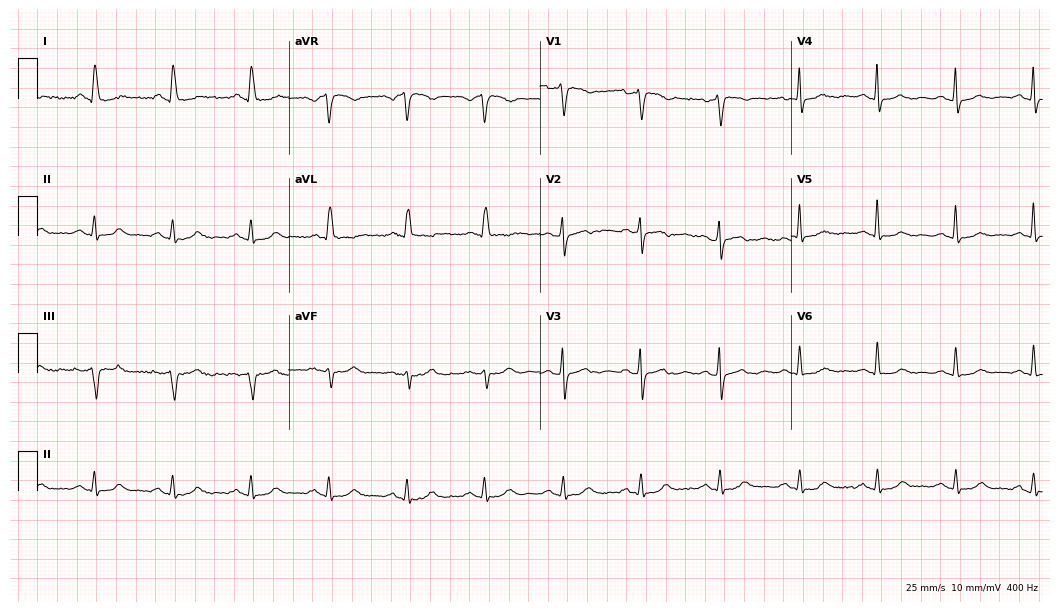
12-lead ECG from a female patient, 75 years old. Screened for six findings — first-degree AV block, right bundle branch block, left bundle branch block, sinus bradycardia, atrial fibrillation, sinus tachycardia — none is recorded.